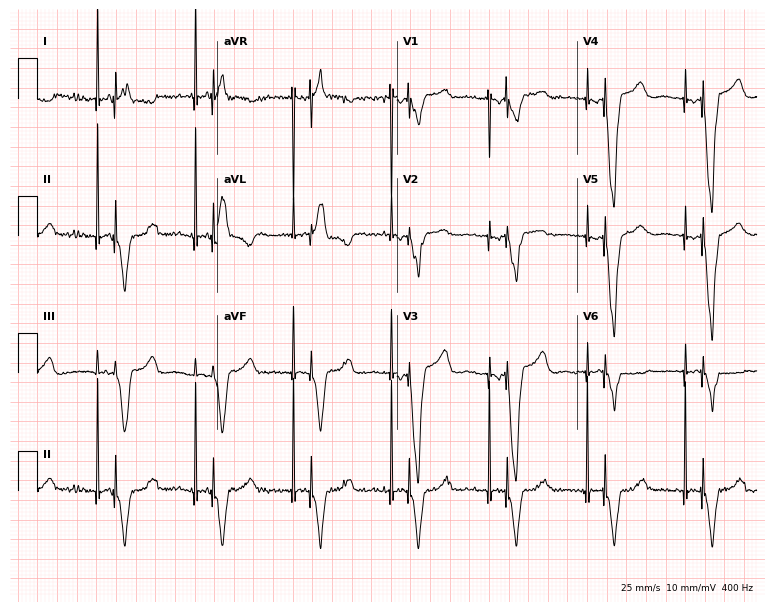
Resting 12-lead electrocardiogram (7.3-second recording at 400 Hz). Patient: an 85-year-old man. None of these six findings is recorded: first-degree AV block, right bundle branch block, left bundle branch block, sinus bradycardia, atrial fibrillation, sinus tachycardia. Findings outside these six are not listed.